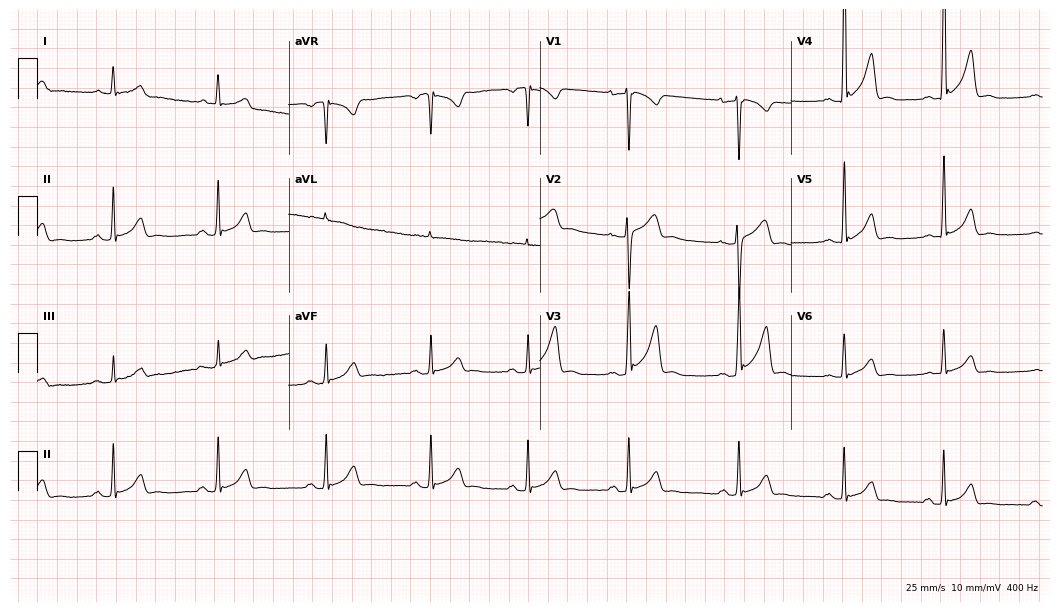
12-lead ECG from a man, 23 years old. No first-degree AV block, right bundle branch block (RBBB), left bundle branch block (LBBB), sinus bradycardia, atrial fibrillation (AF) or sinus tachycardia recorded for this tracing.